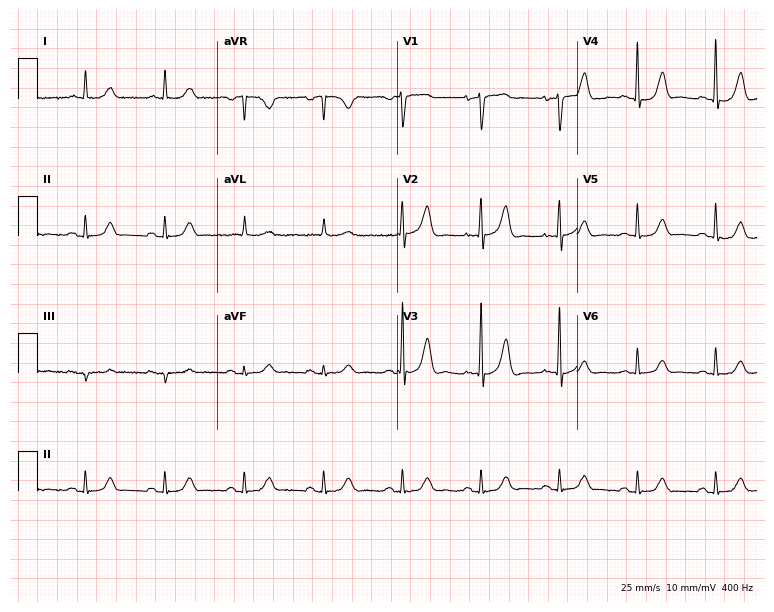
Standard 12-lead ECG recorded from a male patient, 82 years old. Read as a normal ECG.